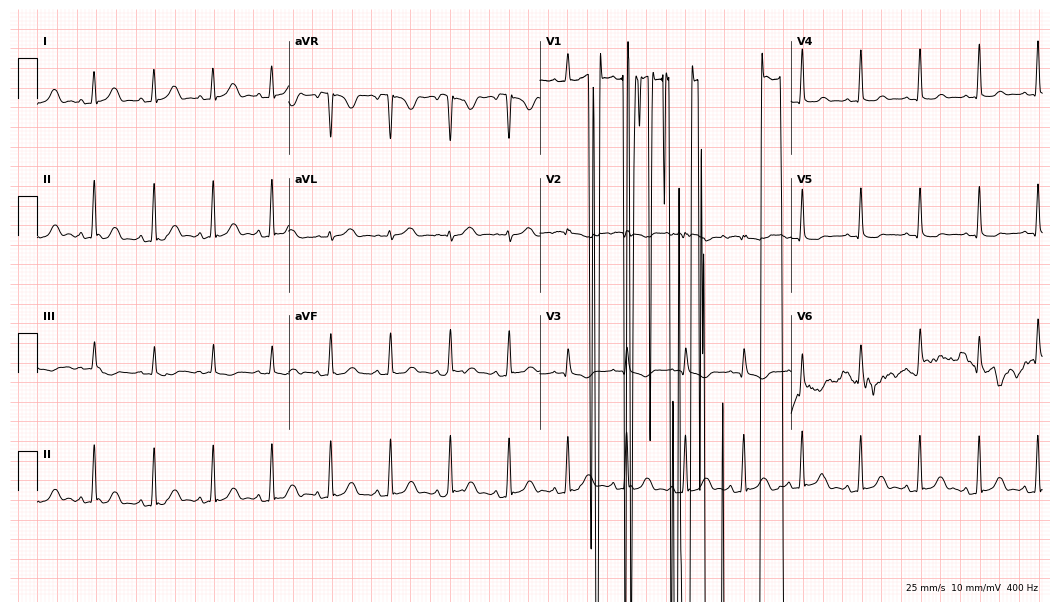
Electrocardiogram (10.2-second recording at 400 Hz), a female patient, 29 years old. Of the six screened findings (first-degree AV block, right bundle branch block, left bundle branch block, sinus bradycardia, atrial fibrillation, sinus tachycardia), none is recorded.